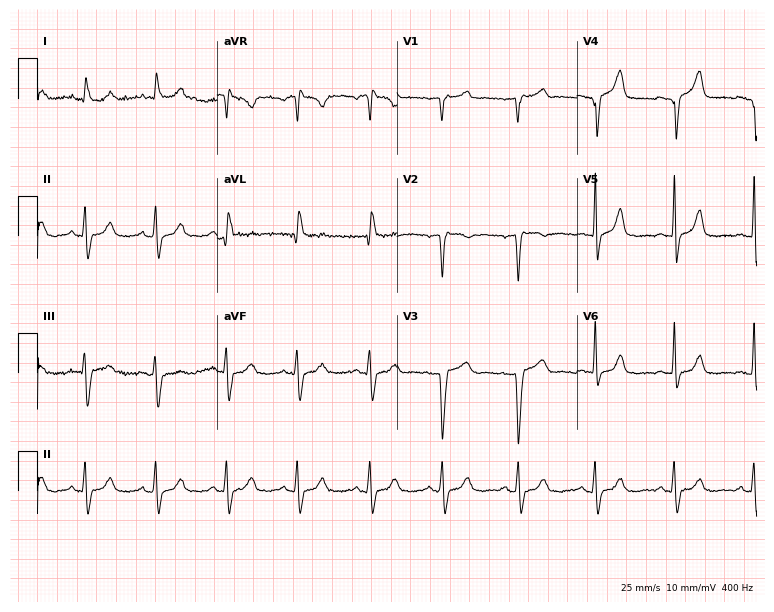
Standard 12-lead ECG recorded from a female patient, 50 years old (7.3-second recording at 400 Hz). None of these six findings is recorded: first-degree AV block, right bundle branch block (RBBB), left bundle branch block (LBBB), sinus bradycardia, atrial fibrillation (AF), sinus tachycardia.